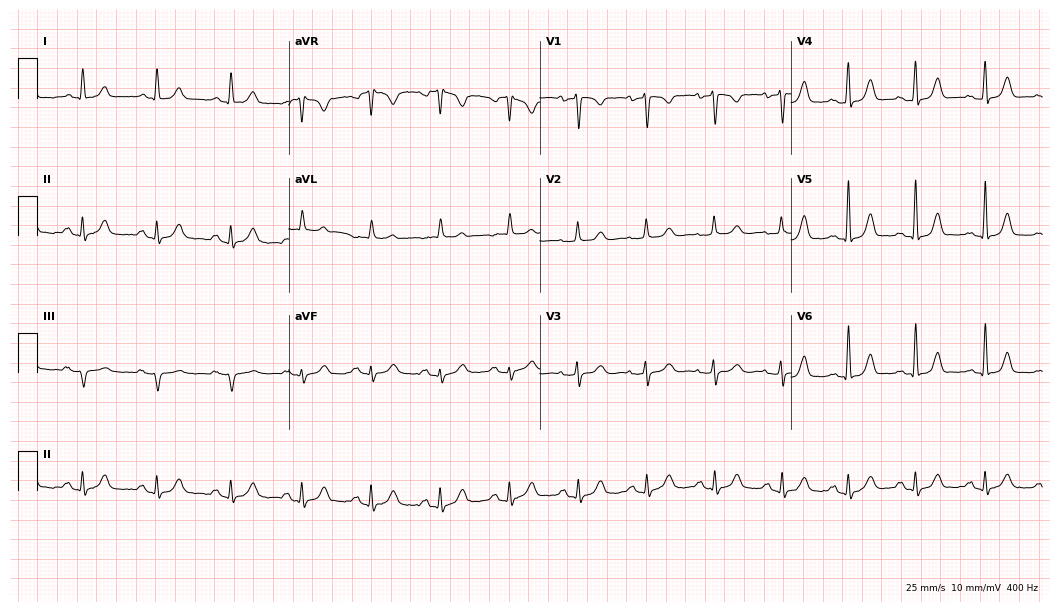
ECG (10.2-second recording at 400 Hz) — a 45-year-old female patient. Labelled as a normal ECG.